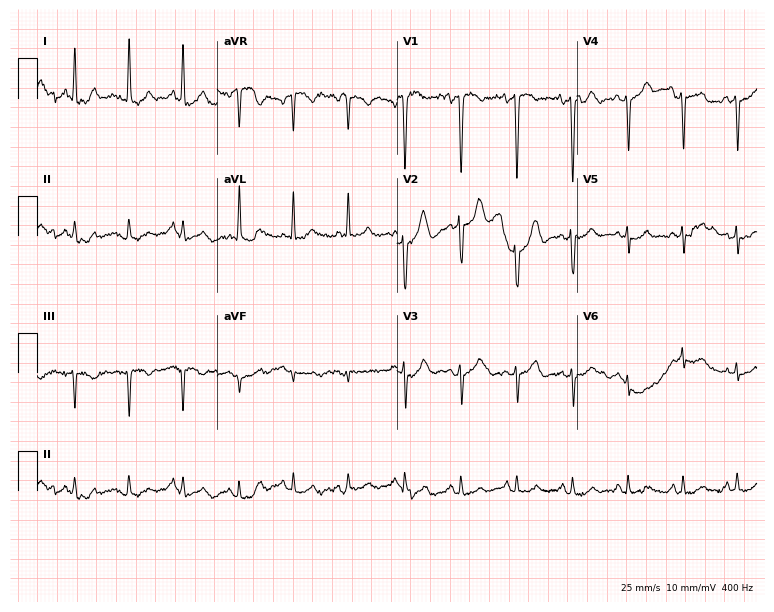
Electrocardiogram (7.3-second recording at 400 Hz), a woman, 32 years old. Of the six screened findings (first-degree AV block, right bundle branch block (RBBB), left bundle branch block (LBBB), sinus bradycardia, atrial fibrillation (AF), sinus tachycardia), none is recorded.